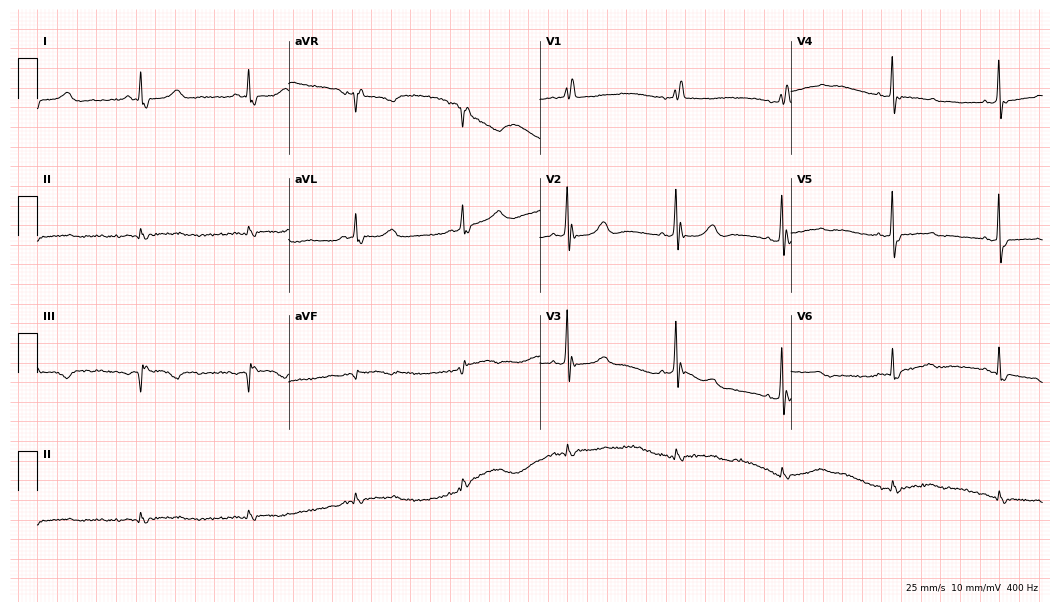
12-lead ECG from a female patient, 82 years old. No first-degree AV block, right bundle branch block (RBBB), left bundle branch block (LBBB), sinus bradycardia, atrial fibrillation (AF) or sinus tachycardia recorded for this tracing. Other findings, if any, are not listed.